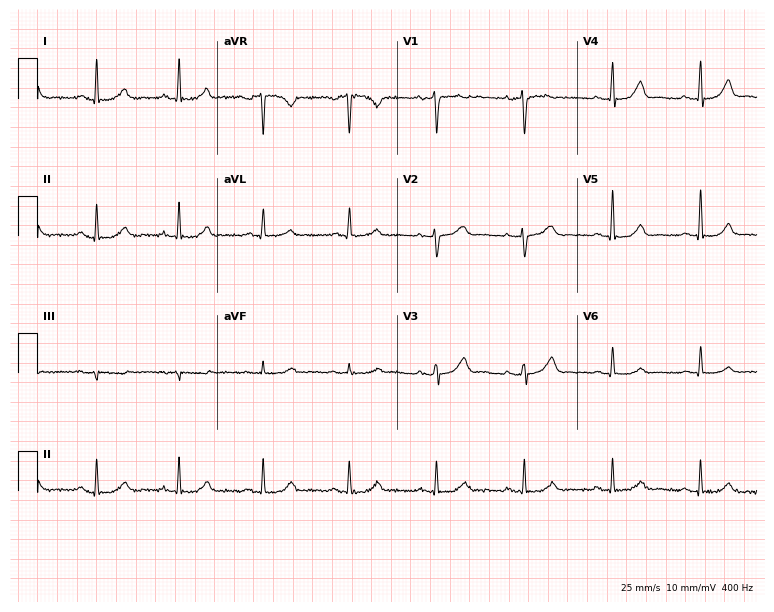
ECG (7.3-second recording at 400 Hz) — a 48-year-old female patient. Labelled as a normal ECG.